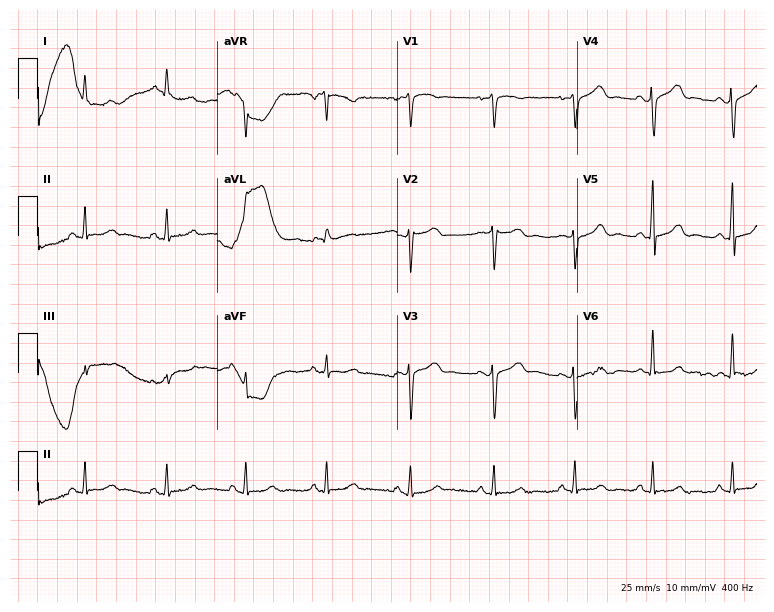
Electrocardiogram, a 52-year-old woman. Of the six screened findings (first-degree AV block, right bundle branch block, left bundle branch block, sinus bradycardia, atrial fibrillation, sinus tachycardia), none is recorded. Findings outside these six are not listed.